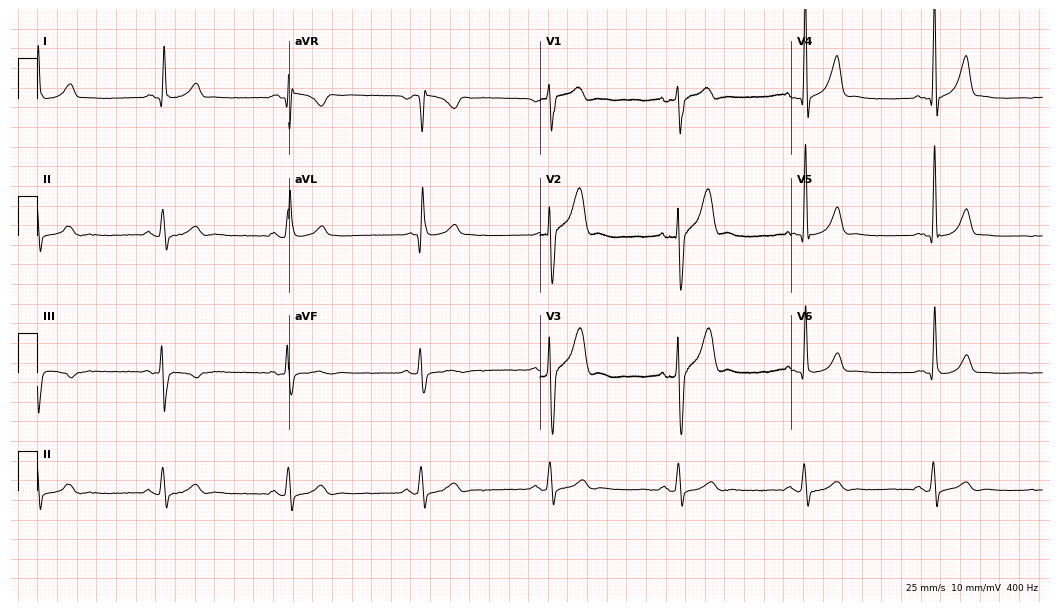
Electrocardiogram (10.2-second recording at 400 Hz), a male patient, 52 years old. Interpretation includes sinus bradycardia (a sinus rate of 50 beats per minute or less).